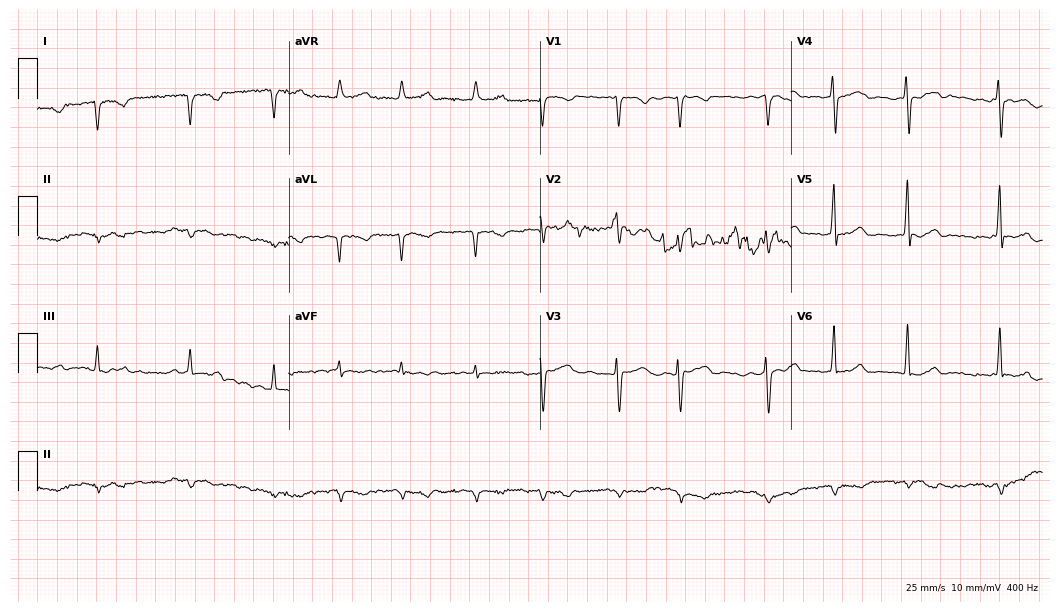
12-lead ECG from a female, 65 years old. No first-degree AV block, right bundle branch block, left bundle branch block, sinus bradycardia, atrial fibrillation or sinus tachycardia recorded for this tracing.